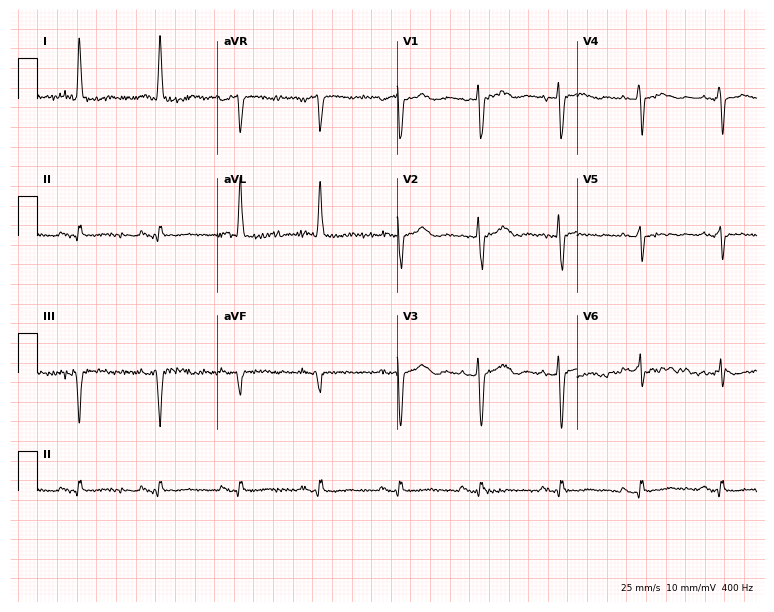
ECG (7.3-second recording at 400 Hz) — a 71-year-old female. Screened for six findings — first-degree AV block, right bundle branch block (RBBB), left bundle branch block (LBBB), sinus bradycardia, atrial fibrillation (AF), sinus tachycardia — none is recorded. Other findings, if any, are not listed.